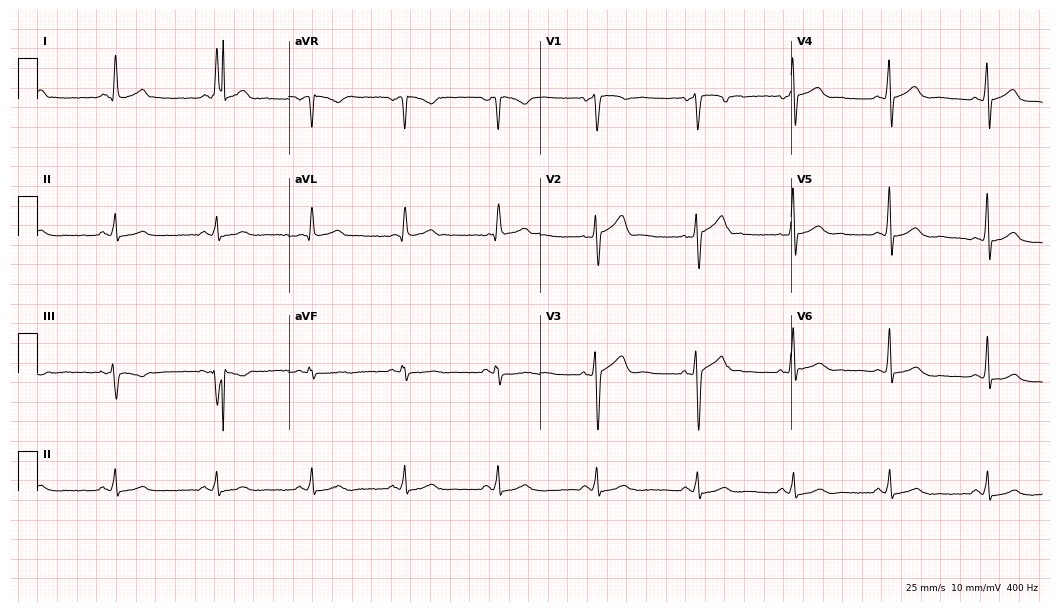
Resting 12-lead electrocardiogram. Patient: a 49-year-old male. Read as a normal ECG.